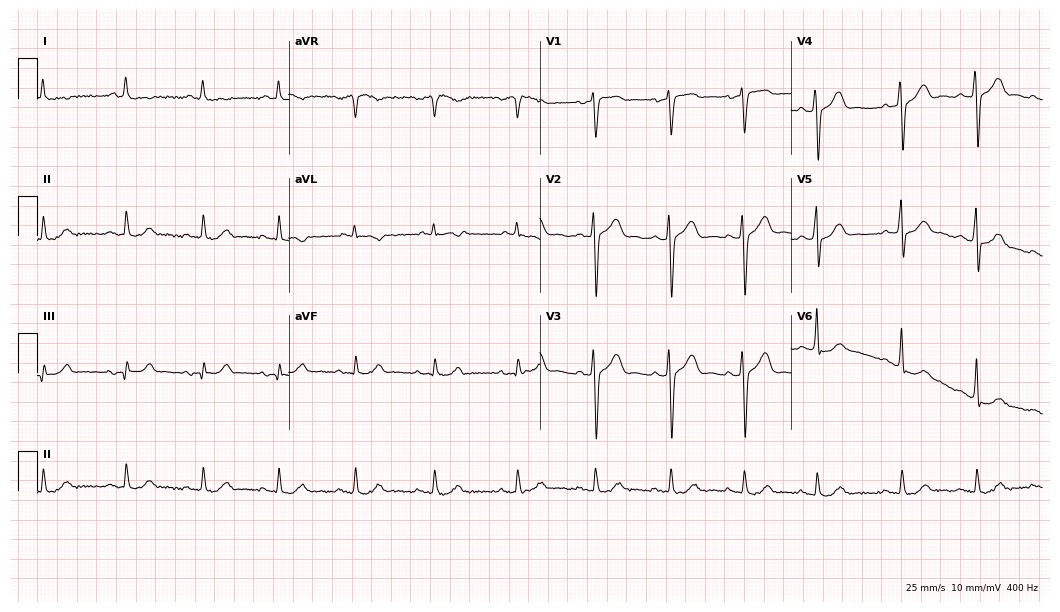
Resting 12-lead electrocardiogram. Patient: a 72-year-old man. None of these six findings is recorded: first-degree AV block, right bundle branch block, left bundle branch block, sinus bradycardia, atrial fibrillation, sinus tachycardia. Findings outside these six are not listed.